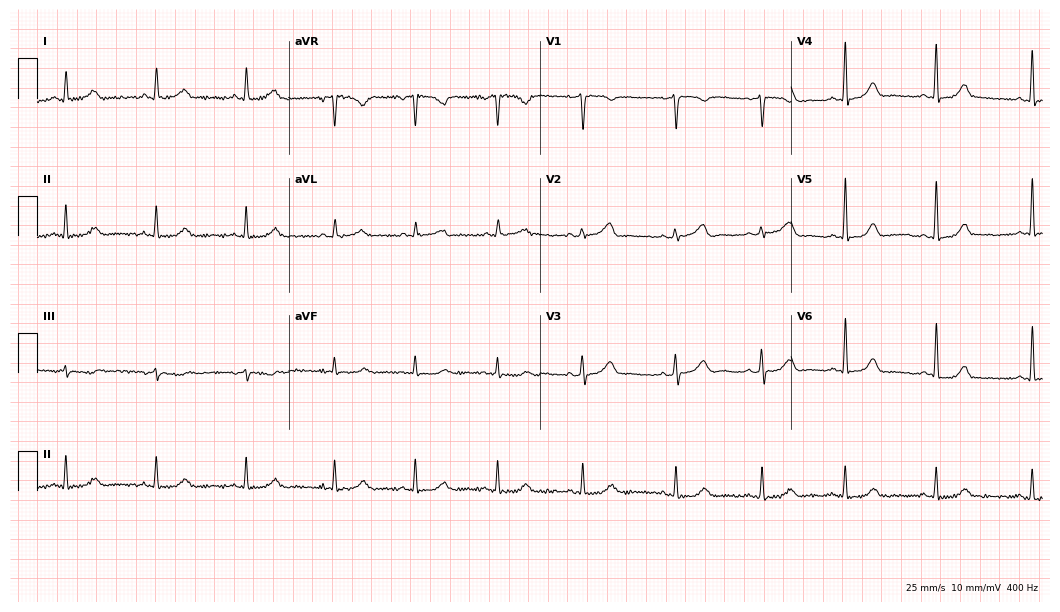
Resting 12-lead electrocardiogram (10.2-second recording at 400 Hz). Patient: a female, 47 years old. Read as a normal ECG.